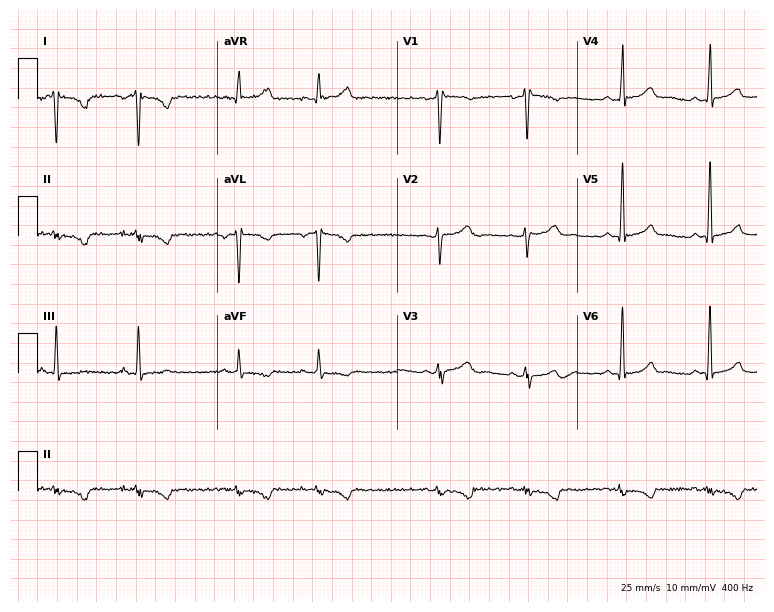
Resting 12-lead electrocardiogram (7.3-second recording at 400 Hz). Patient: a 24-year-old female. None of these six findings is recorded: first-degree AV block, right bundle branch block, left bundle branch block, sinus bradycardia, atrial fibrillation, sinus tachycardia. Only these six findings were labelled.